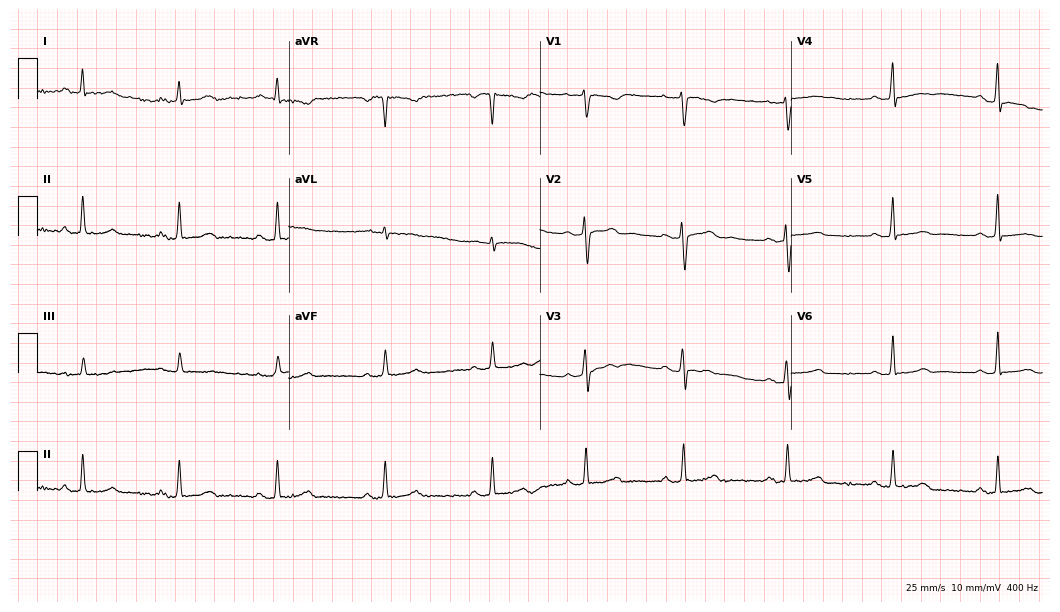
Standard 12-lead ECG recorded from a 38-year-old woman. Read as a normal ECG.